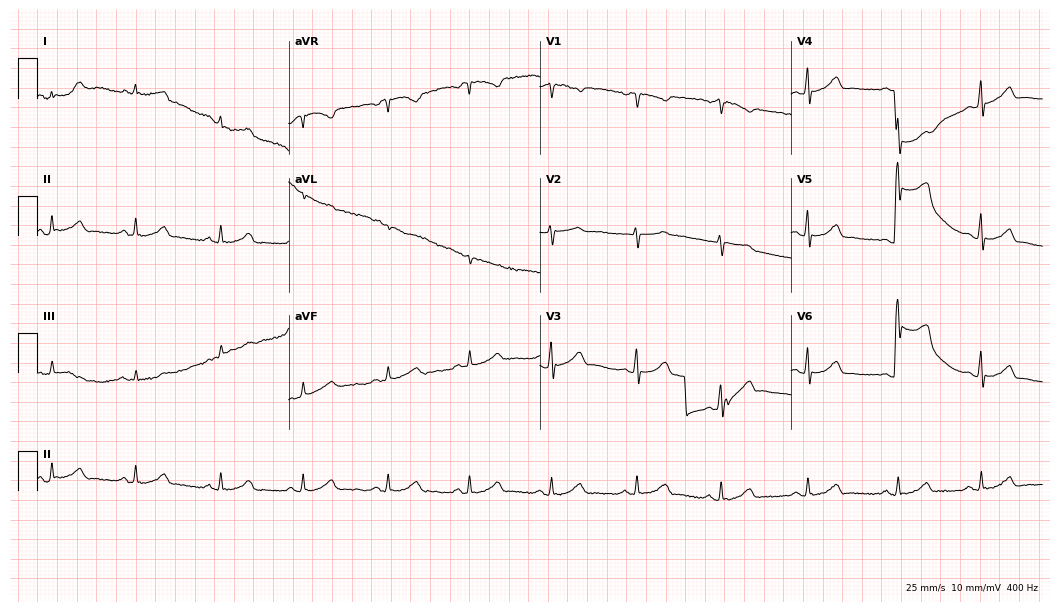
Standard 12-lead ECG recorded from a woman, 39 years old (10.2-second recording at 400 Hz). Read as a normal ECG.